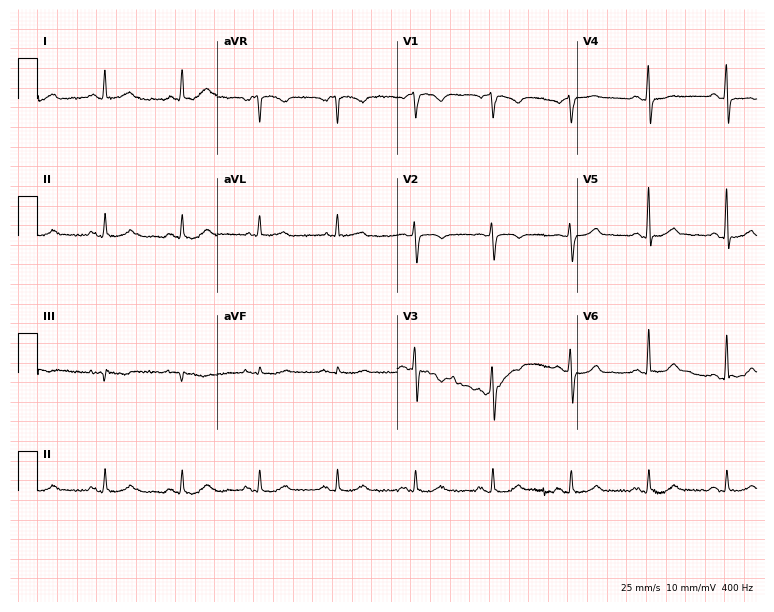
12-lead ECG (7.3-second recording at 400 Hz) from a man, 66 years old. Screened for six findings — first-degree AV block, right bundle branch block, left bundle branch block, sinus bradycardia, atrial fibrillation, sinus tachycardia — none is recorded.